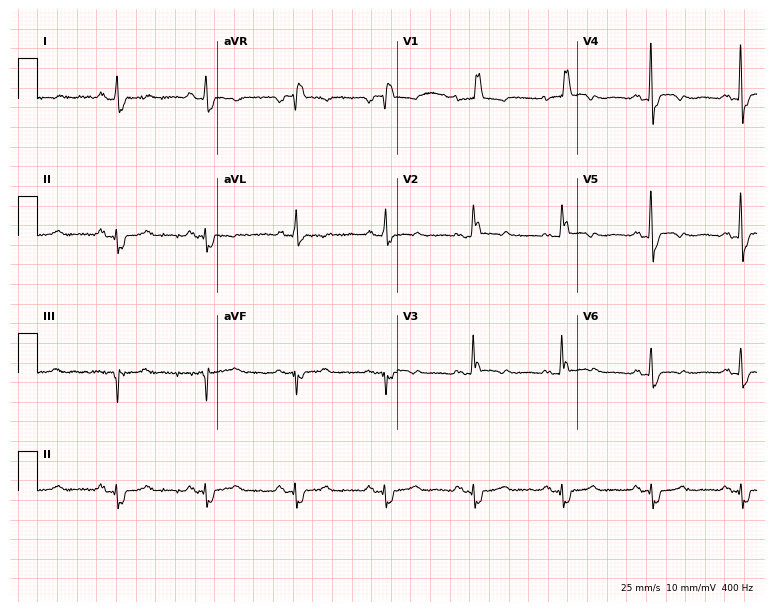
12-lead ECG (7.3-second recording at 400 Hz) from a 53-year-old female patient. Screened for six findings — first-degree AV block, right bundle branch block (RBBB), left bundle branch block (LBBB), sinus bradycardia, atrial fibrillation (AF), sinus tachycardia — none is recorded. Only these six findings were labelled.